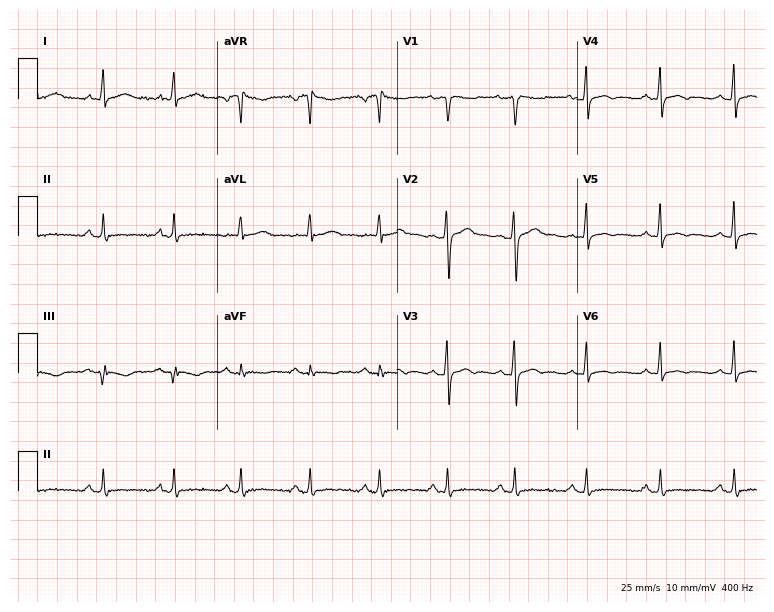
12-lead ECG from a 35-year-old woman. Screened for six findings — first-degree AV block, right bundle branch block, left bundle branch block, sinus bradycardia, atrial fibrillation, sinus tachycardia — none is recorded.